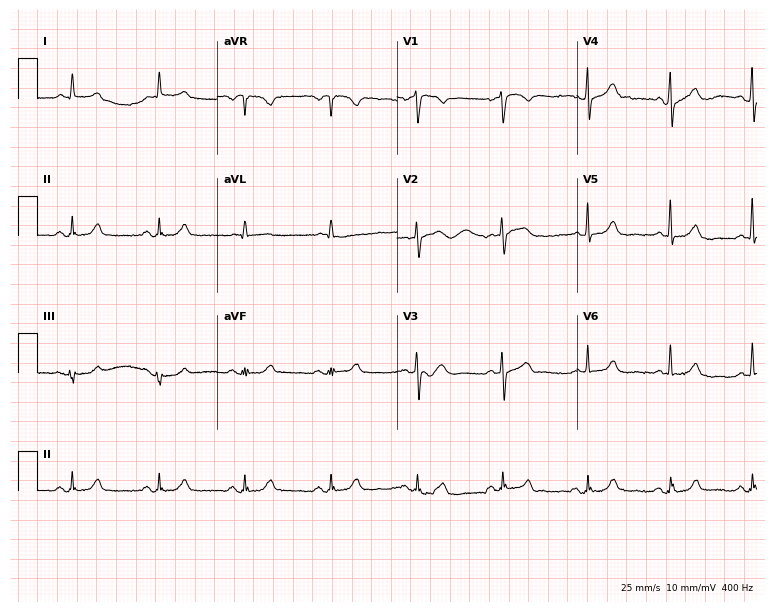
Resting 12-lead electrocardiogram. Patient: a 66-year-old man. None of these six findings is recorded: first-degree AV block, right bundle branch block, left bundle branch block, sinus bradycardia, atrial fibrillation, sinus tachycardia. Only these six findings were labelled.